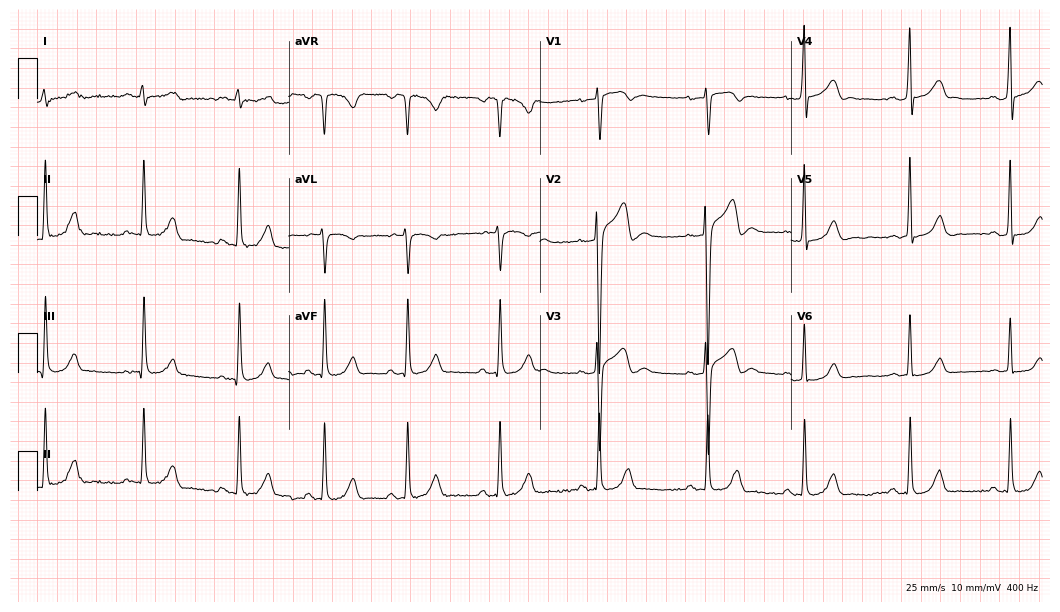
ECG (10.2-second recording at 400 Hz) — a 27-year-old man. Labelled as a normal ECG.